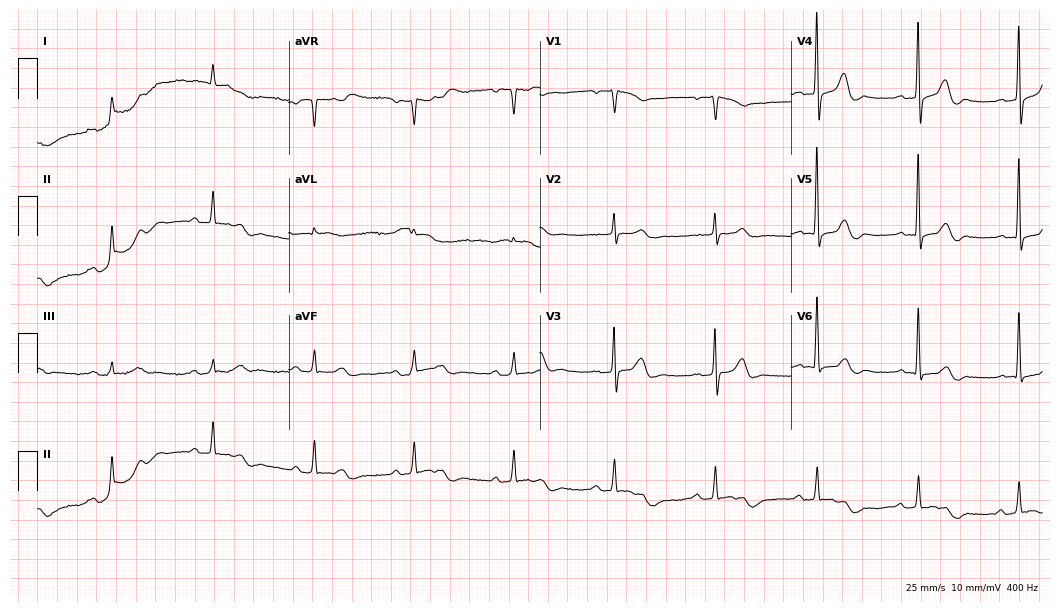
12-lead ECG from a 67-year-old man (10.2-second recording at 400 Hz). No first-degree AV block, right bundle branch block (RBBB), left bundle branch block (LBBB), sinus bradycardia, atrial fibrillation (AF) or sinus tachycardia recorded for this tracing.